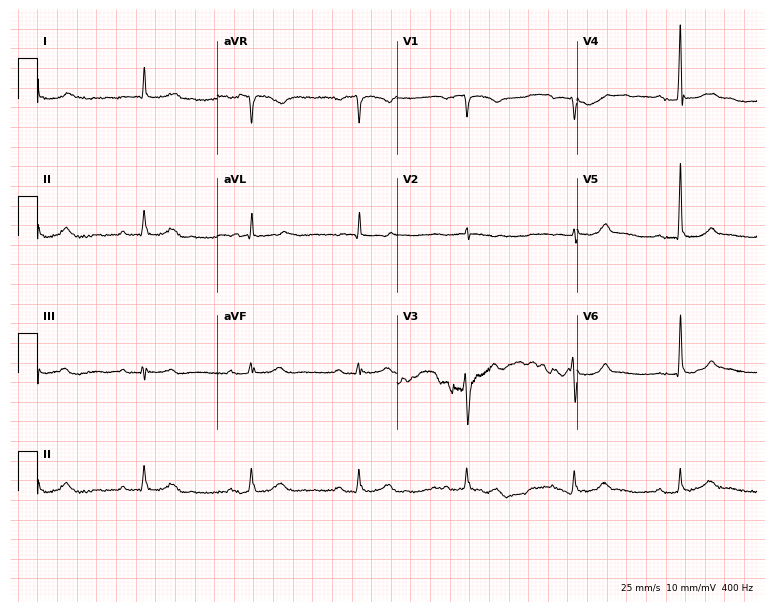
ECG — an 84-year-old male patient. Screened for six findings — first-degree AV block, right bundle branch block, left bundle branch block, sinus bradycardia, atrial fibrillation, sinus tachycardia — none is recorded. Only these six findings were labelled.